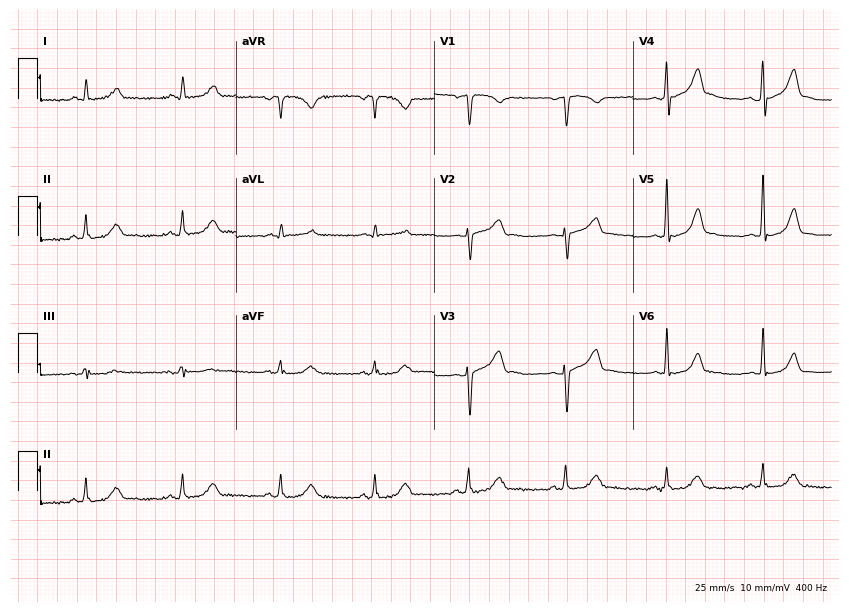
12-lead ECG from a 50-year-old female patient. Screened for six findings — first-degree AV block, right bundle branch block, left bundle branch block, sinus bradycardia, atrial fibrillation, sinus tachycardia — none is recorded.